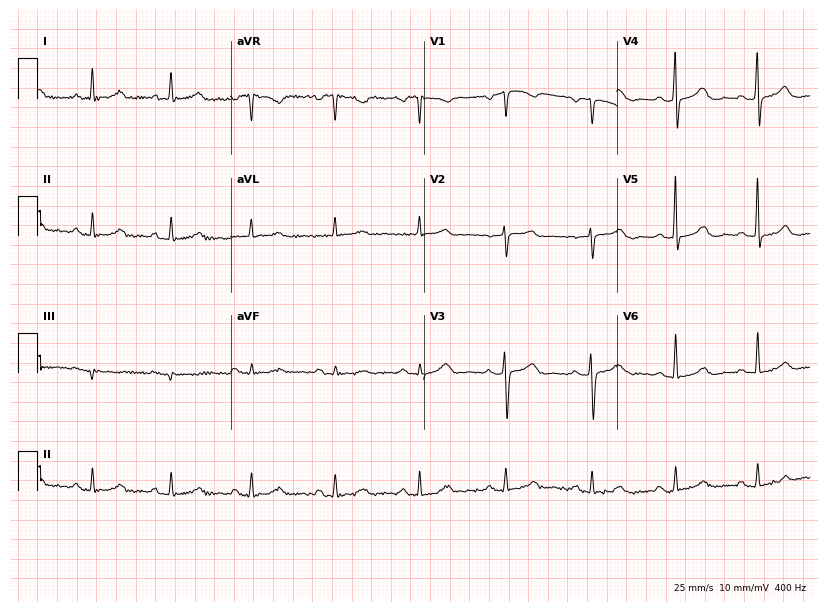
ECG (7.9-second recording at 400 Hz) — a female, 61 years old. Labelled as a normal ECG.